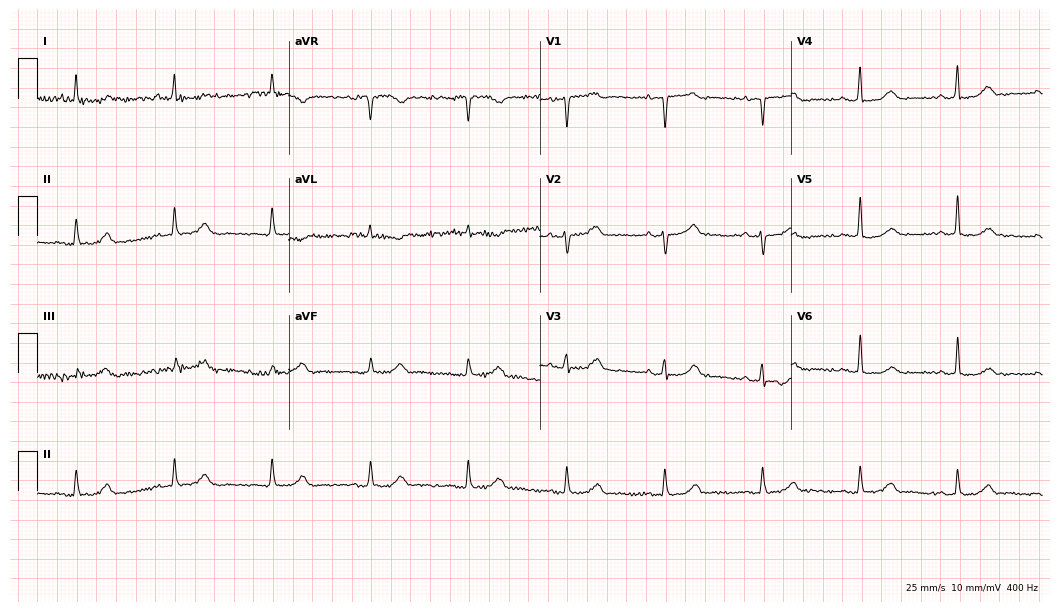
12-lead ECG from a 58-year-old woman. No first-degree AV block, right bundle branch block, left bundle branch block, sinus bradycardia, atrial fibrillation or sinus tachycardia recorded for this tracing.